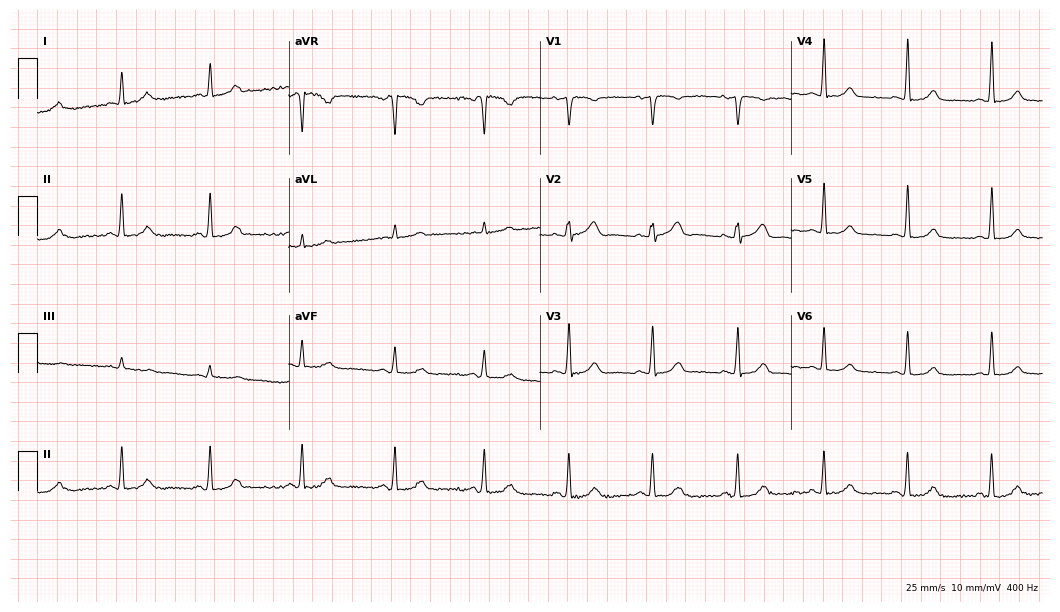
Resting 12-lead electrocardiogram. Patient: a 47-year-old female. None of these six findings is recorded: first-degree AV block, right bundle branch block, left bundle branch block, sinus bradycardia, atrial fibrillation, sinus tachycardia.